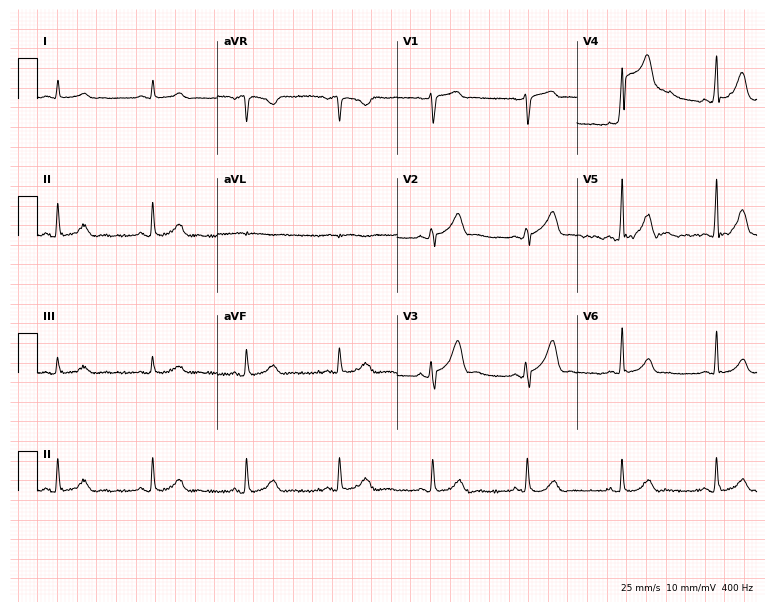
12-lead ECG from a 65-year-old man (7.3-second recording at 400 Hz). No first-degree AV block, right bundle branch block, left bundle branch block, sinus bradycardia, atrial fibrillation or sinus tachycardia recorded for this tracing. Only these six findings were labelled.